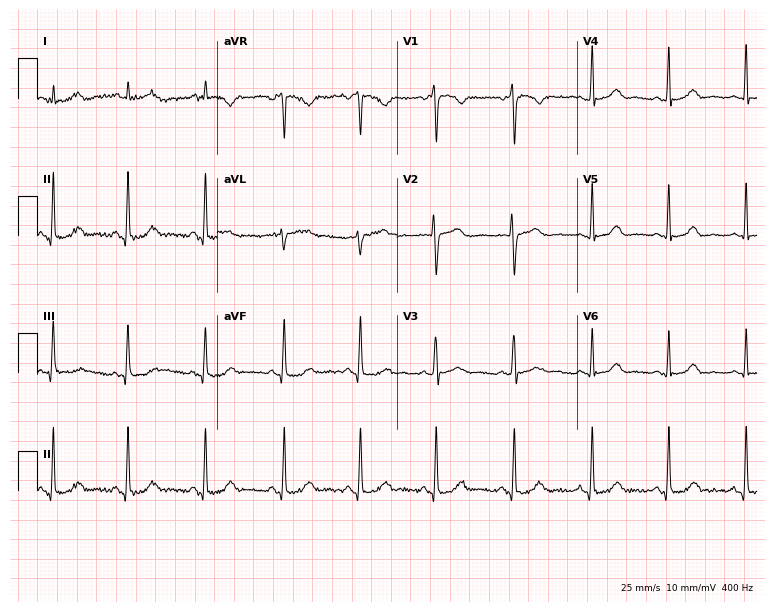
12-lead ECG from a woman, 18 years old. Labelled as a normal ECG.